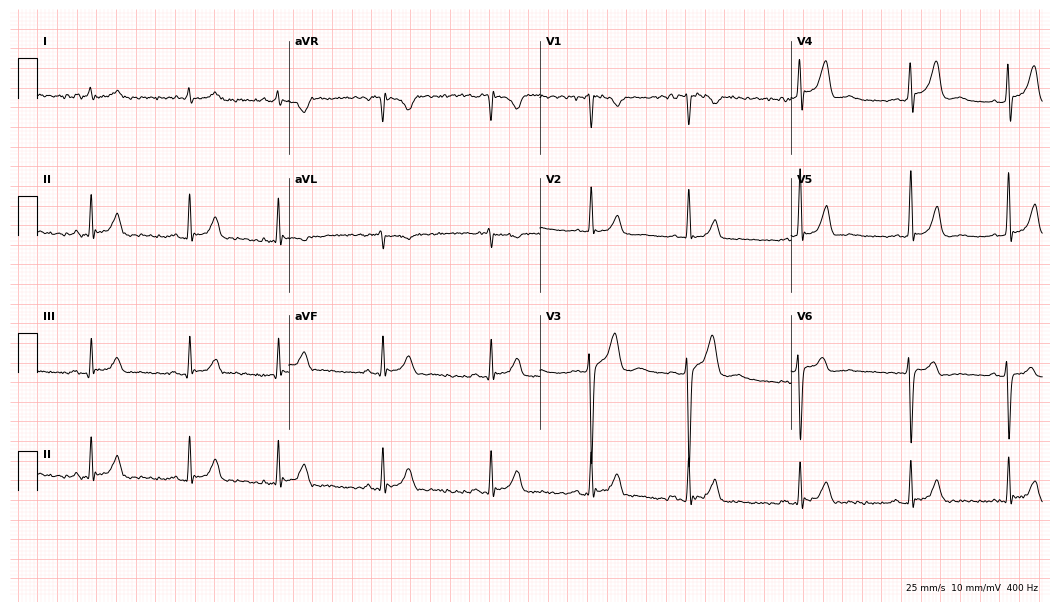
12-lead ECG from a 23-year-old male. Recorded interpretation: within normal limits.